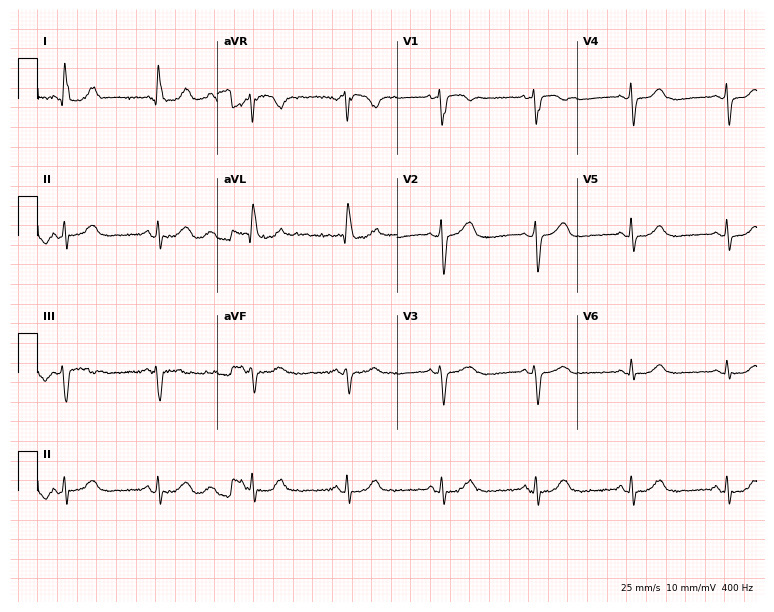
Electrocardiogram, a man, 63 years old. Overall reading on record: normal ECG.